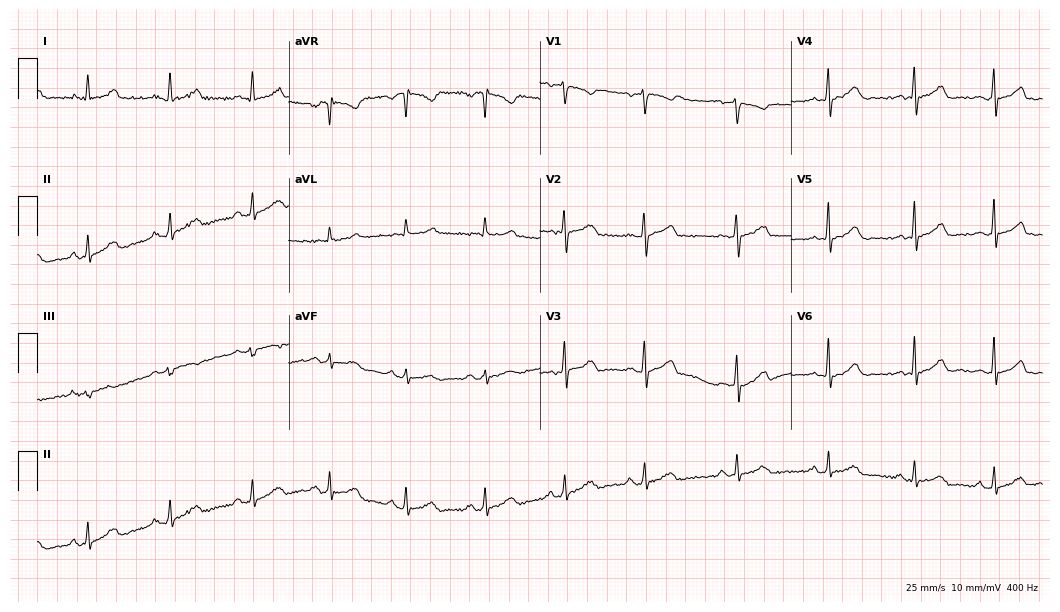
ECG (10.2-second recording at 400 Hz) — a female patient, 35 years old. Labelled as a normal ECG.